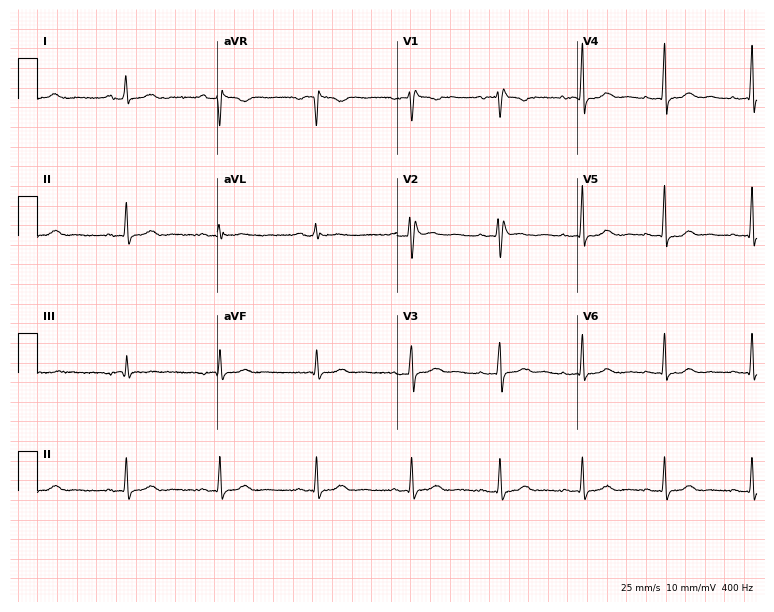
12-lead ECG from a 40-year-old female. No first-degree AV block, right bundle branch block, left bundle branch block, sinus bradycardia, atrial fibrillation or sinus tachycardia recorded for this tracing. Other findings, if any, are not listed.